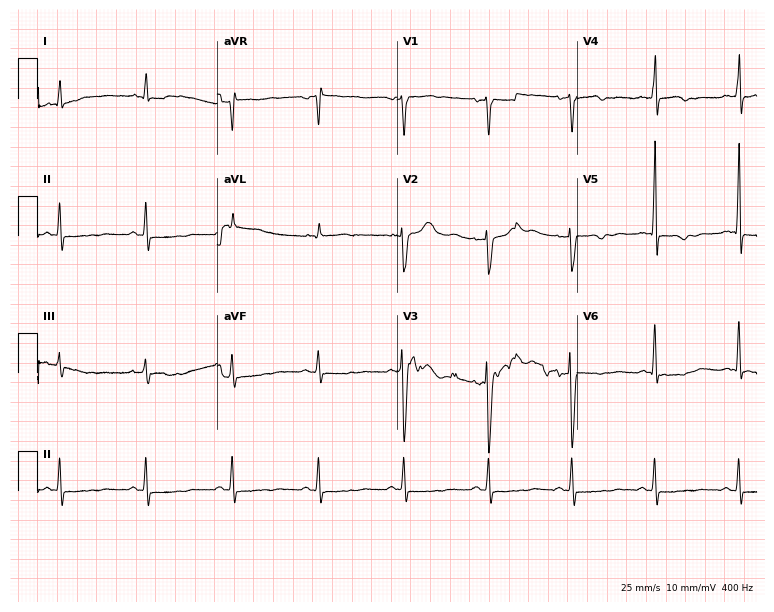
Resting 12-lead electrocardiogram. Patient: a 66-year-old male. None of these six findings is recorded: first-degree AV block, right bundle branch block (RBBB), left bundle branch block (LBBB), sinus bradycardia, atrial fibrillation (AF), sinus tachycardia. Other findings, if any, are not listed.